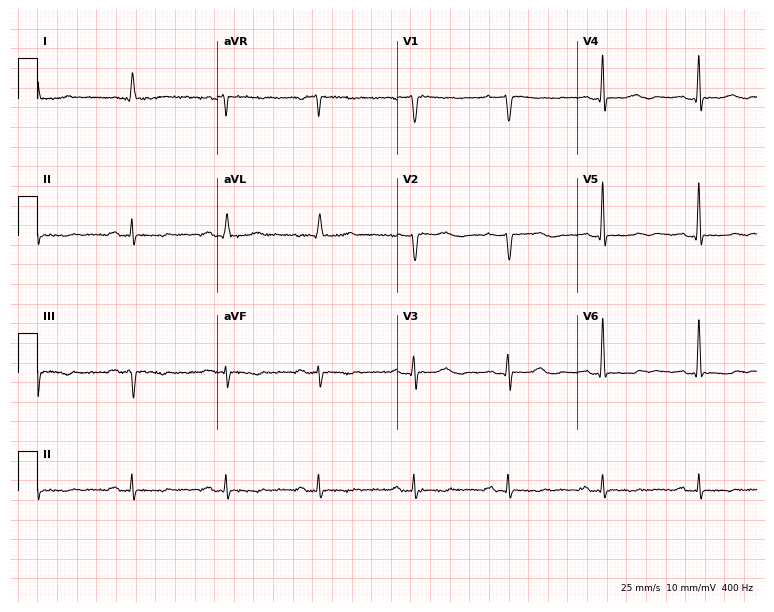
12-lead ECG from a woman, 82 years old. No first-degree AV block, right bundle branch block (RBBB), left bundle branch block (LBBB), sinus bradycardia, atrial fibrillation (AF) or sinus tachycardia recorded for this tracing. Findings outside these six are not listed.